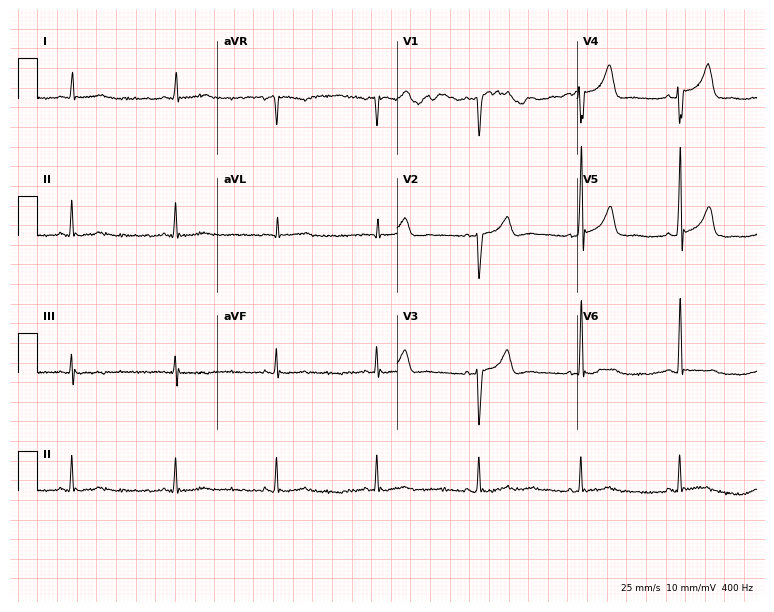
Electrocardiogram, a male, 79 years old. Of the six screened findings (first-degree AV block, right bundle branch block, left bundle branch block, sinus bradycardia, atrial fibrillation, sinus tachycardia), none is recorded.